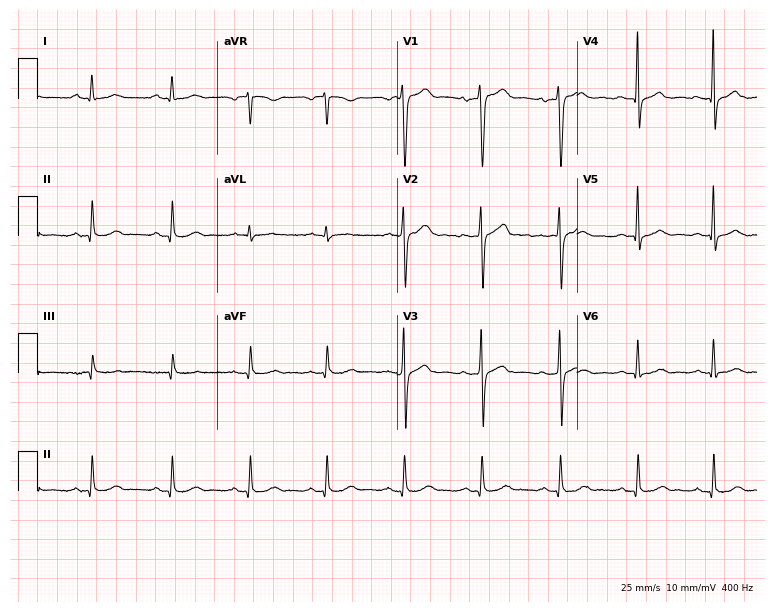
Resting 12-lead electrocardiogram. Patient: a man, 63 years old. Read as a normal ECG.